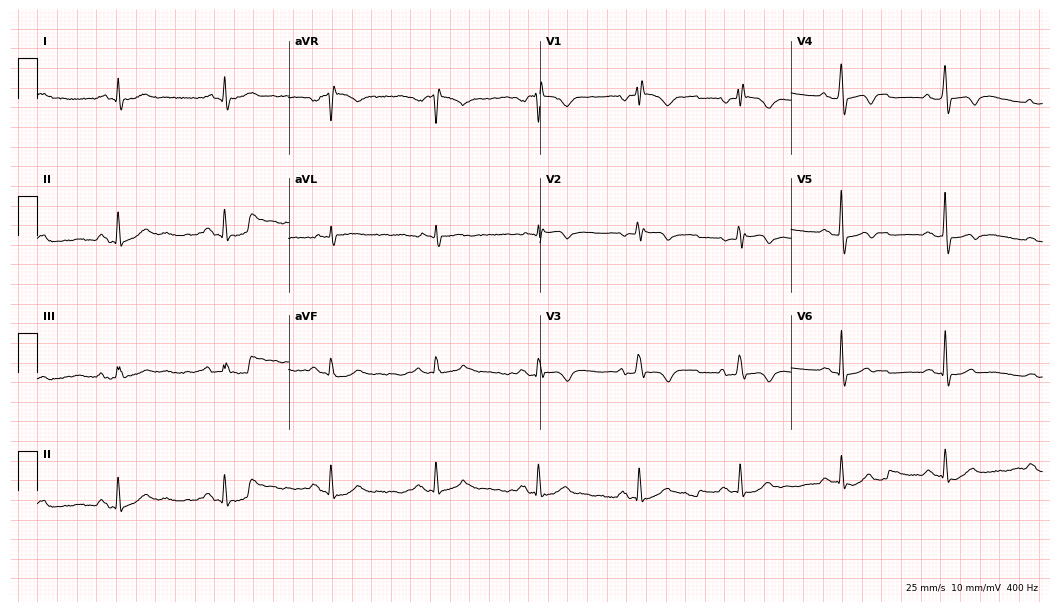
Electrocardiogram (10.2-second recording at 400 Hz), a male patient, 61 years old. Of the six screened findings (first-degree AV block, right bundle branch block, left bundle branch block, sinus bradycardia, atrial fibrillation, sinus tachycardia), none is recorded. Findings outside these six are not listed.